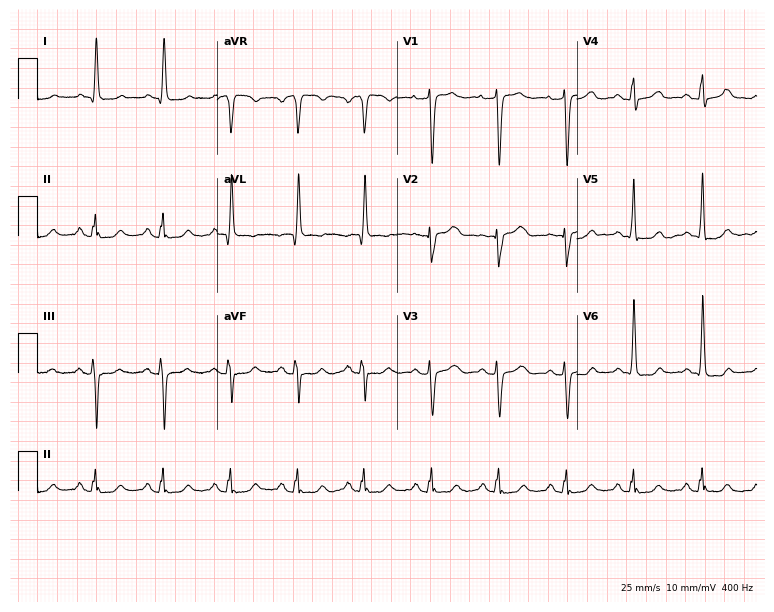
12-lead ECG from a woman, 57 years old (7.3-second recording at 400 Hz). No first-degree AV block, right bundle branch block, left bundle branch block, sinus bradycardia, atrial fibrillation or sinus tachycardia recorded for this tracing. Only these six findings were labelled.